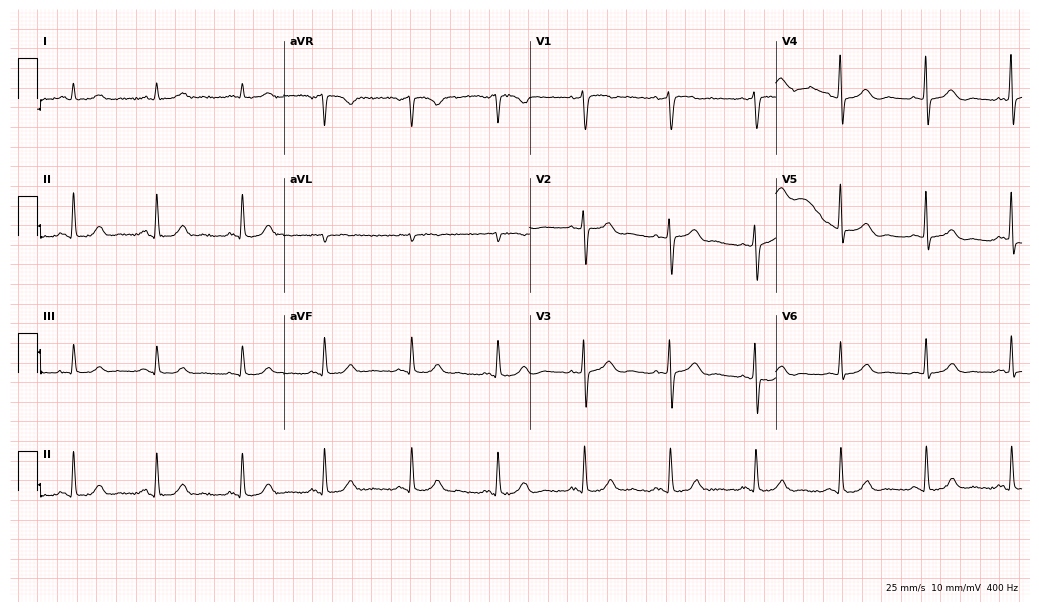
Electrocardiogram, a man, 85 years old. Overall reading on record: normal ECG.